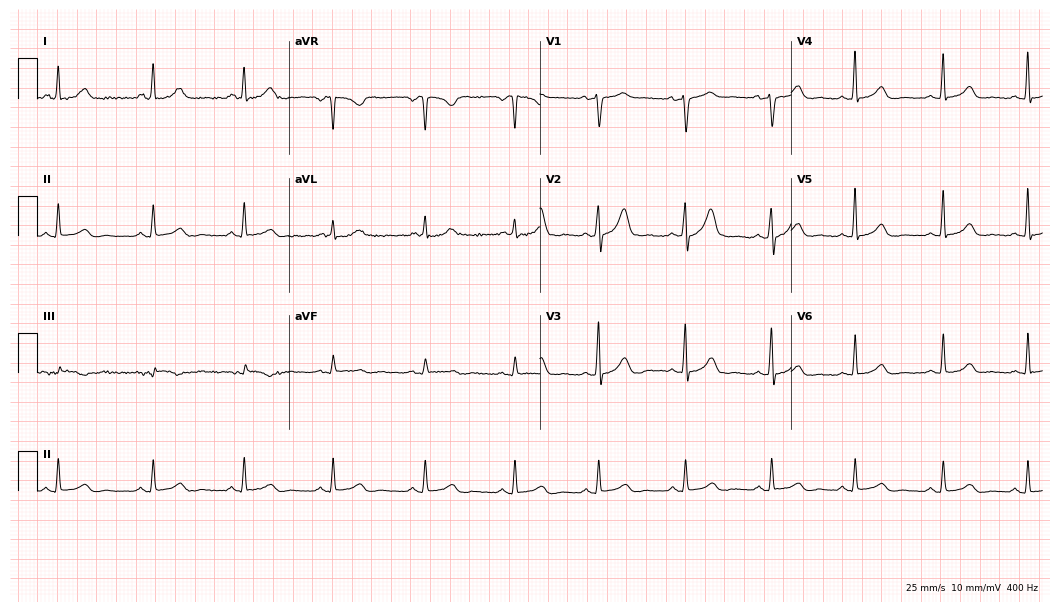
Electrocardiogram, a 47-year-old female patient. Overall reading on record: normal ECG.